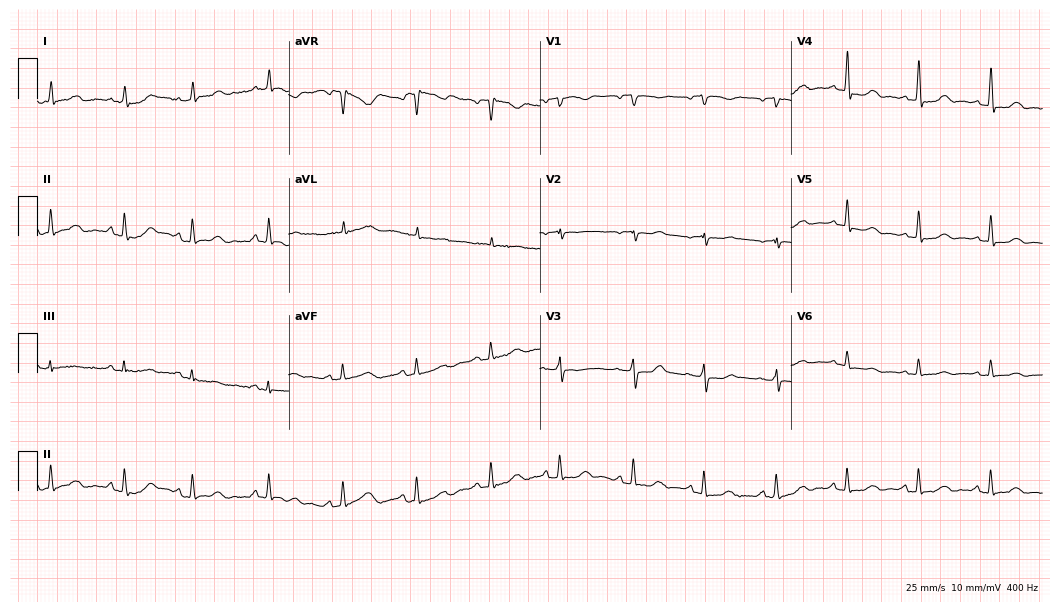
Resting 12-lead electrocardiogram. Patient: a 79-year-old female. None of these six findings is recorded: first-degree AV block, right bundle branch block, left bundle branch block, sinus bradycardia, atrial fibrillation, sinus tachycardia. Only these six findings were labelled.